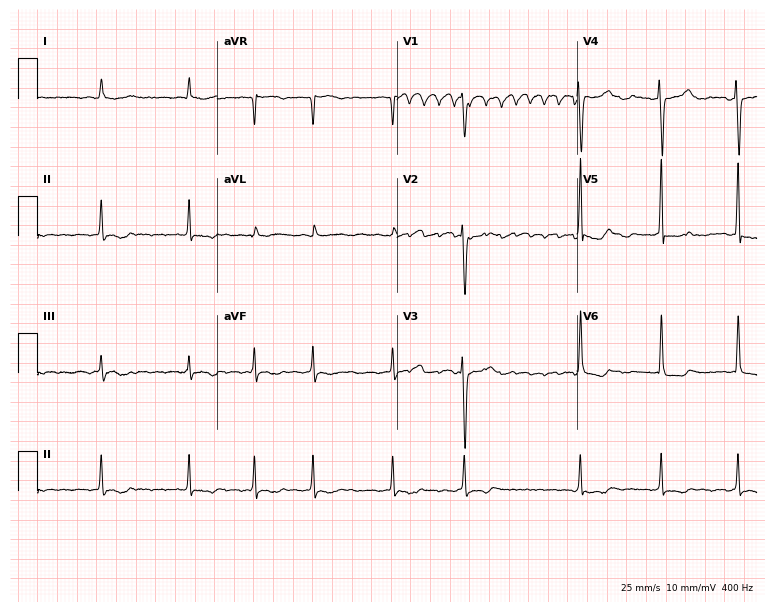
Electrocardiogram, a 68-year-old woman. Of the six screened findings (first-degree AV block, right bundle branch block, left bundle branch block, sinus bradycardia, atrial fibrillation, sinus tachycardia), none is recorded.